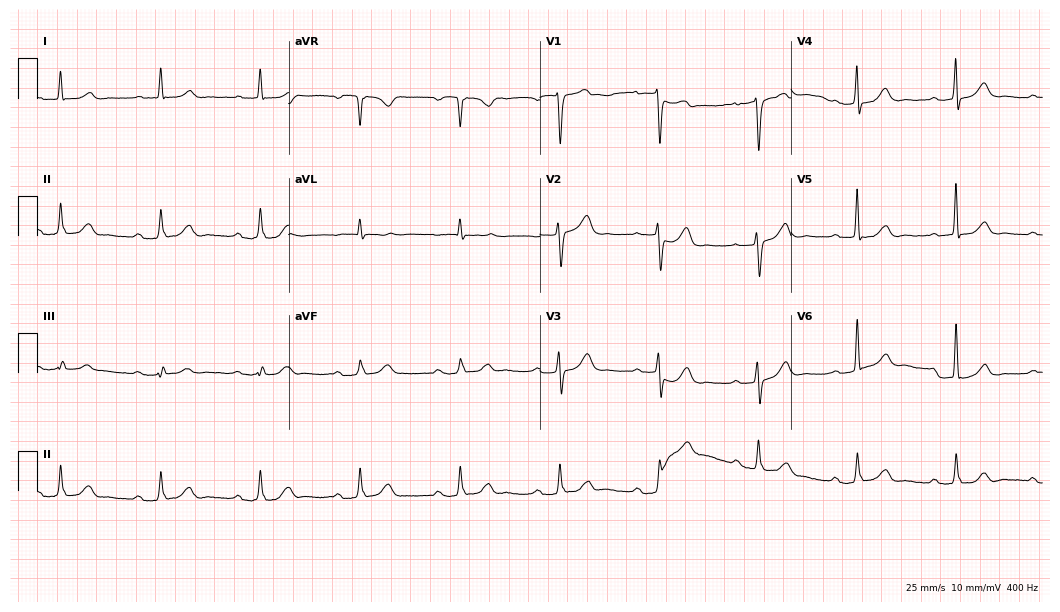
Electrocardiogram, a male, 74 years old. Interpretation includes first-degree AV block.